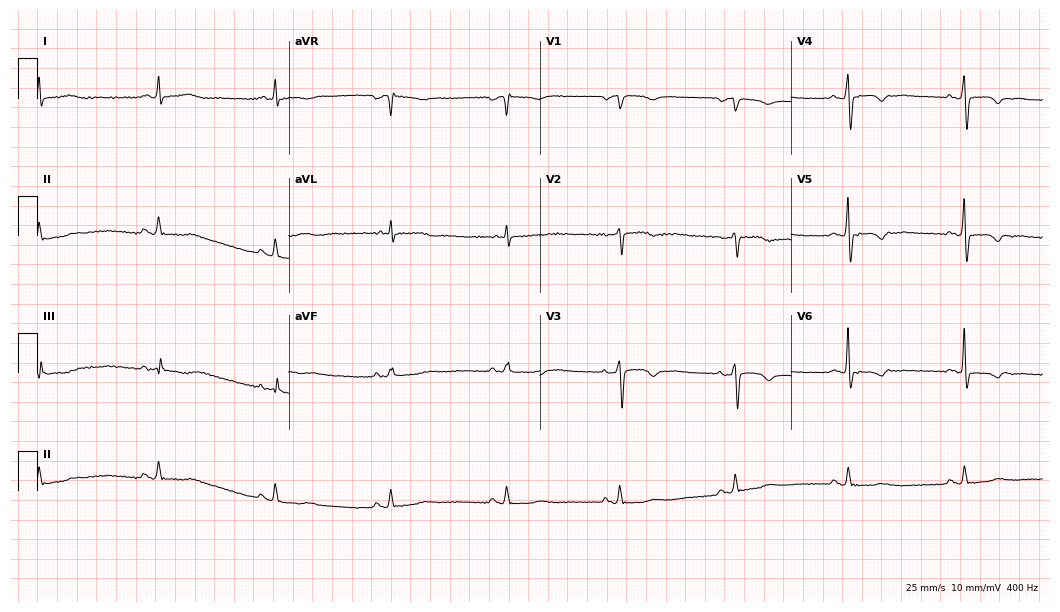
Resting 12-lead electrocardiogram (10.2-second recording at 400 Hz). Patient: a female, 73 years old. None of these six findings is recorded: first-degree AV block, right bundle branch block (RBBB), left bundle branch block (LBBB), sinus bradycardia, atrial fibrillation (AF), sinus tachycardia. Findings outside these six are not listed.